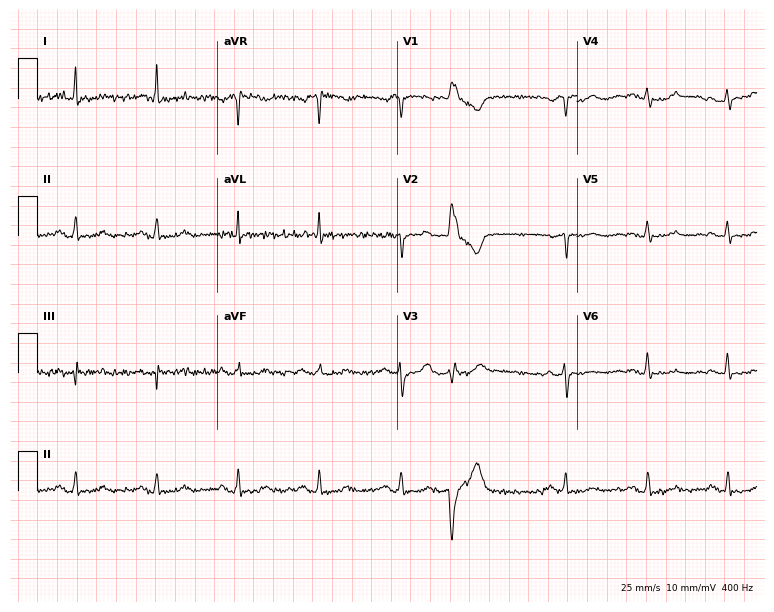
Electrocardiogram (7.3-second recording at 400 Hz), a woman, 83 years old. Overall reading on record: normal ECG.